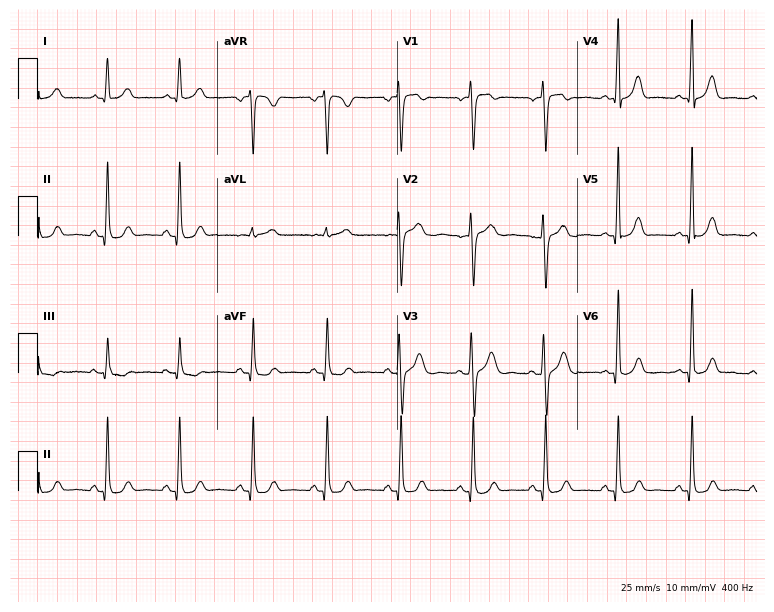
12-lead ECG (7.3-second recording at 400 Hz) from a woman, 49 years old. Labelled as a normal ECG.